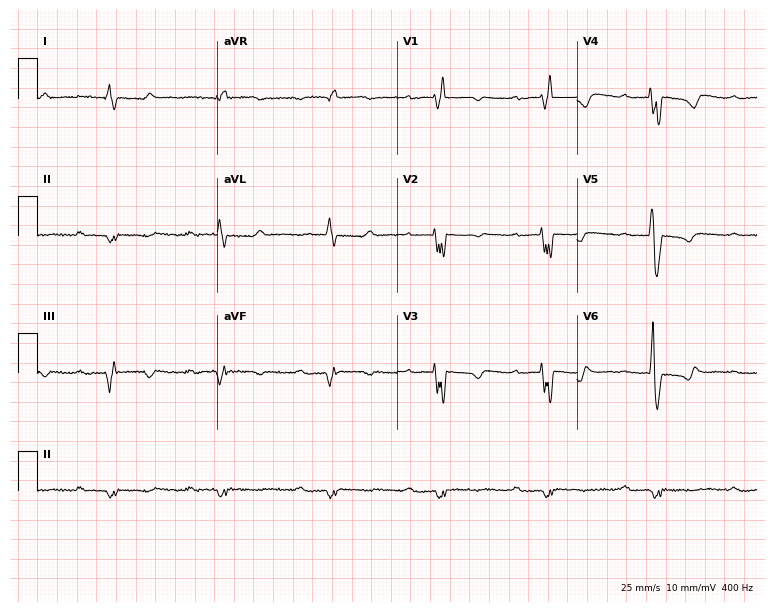
Resting 12-lead electrocardiogram (7.3-second recording at 400 Hz). Patient: a 76-year-old male. The tracing shows first-degree AV block, right bundle branch block (RBBB).